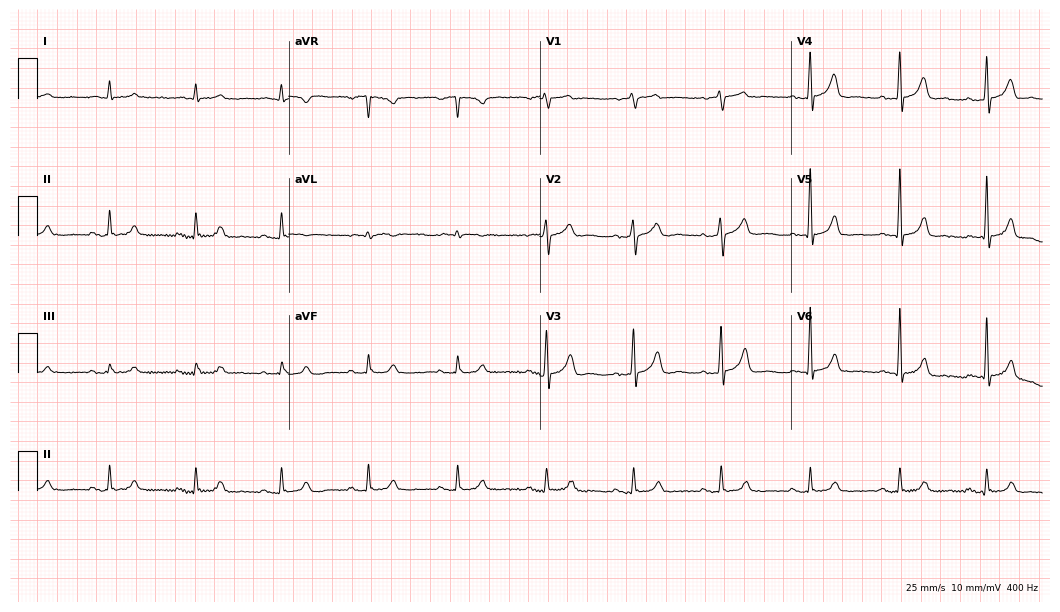
12-lead ECG (10.2-second recording at 400 Hz) from a 78-year-old male. Labelled as a normal ECG.